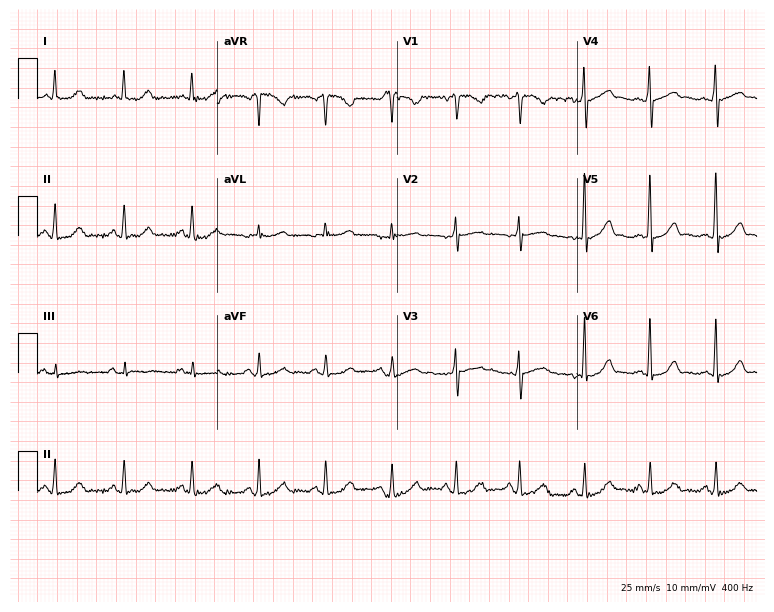
Electrocardiogram (7.3-second recording at 400 Hz), a 34-year-old woman. Of the six screened findings (first-degree AV block, right bundle branch block (RBBB), left bundle branch block (LBBB), sinus bradycardia, atrial fibrillation (AF), sinus tachycardia), none is recorded.